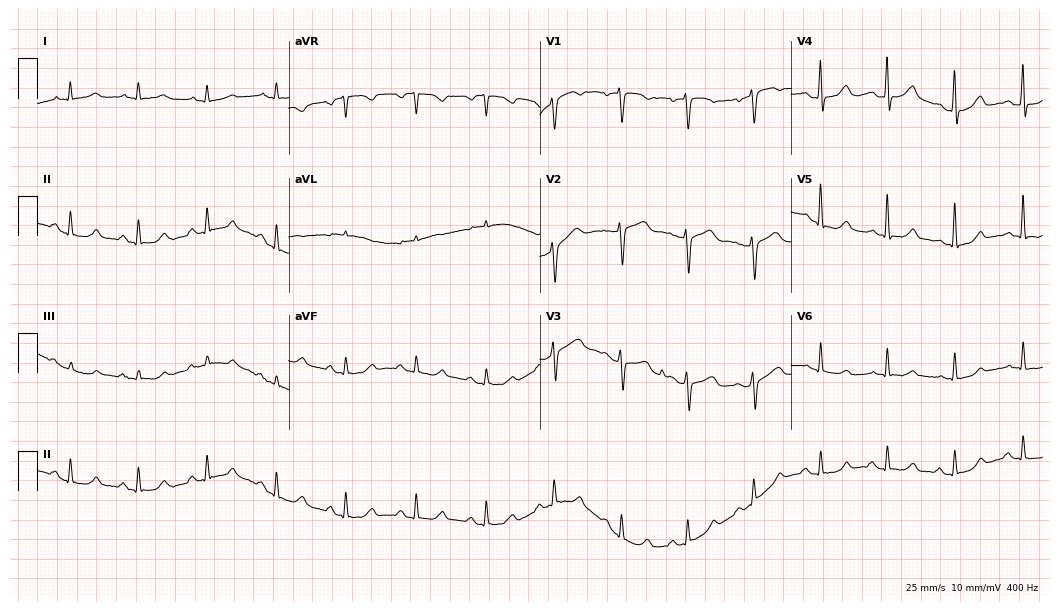
12-lead ECG from a woman, 52 years old. Recorded interpretation: within normal limits.